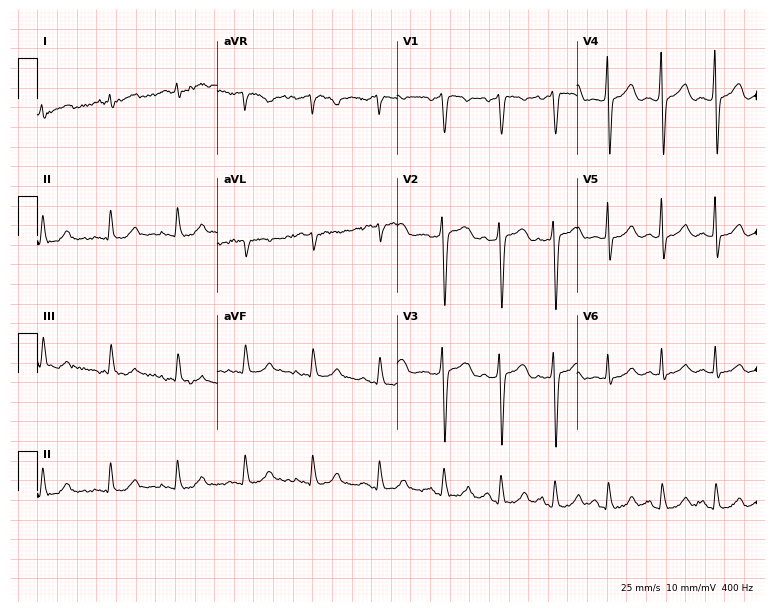
Standard 12-lead ECG recorded from a 52-year-old man (7.3-second recording at 400 Hz). None of these six findings is recorded: first-degree AV block, right bundle branch block, left bundle branch block, sinus bradycardia, atrial fibrillation, sinus tachycardia. Findings outside these six are not listed.